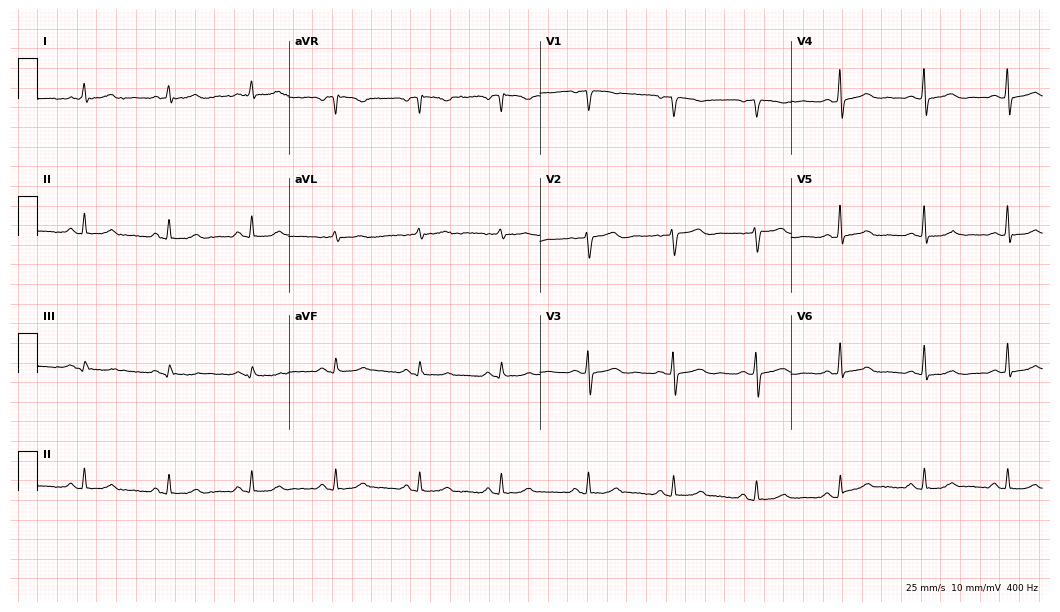
12-lead ECG from a 61-year-old female (10.2-second recording at 400 Hz). Recorded interpretation: within normal limits.